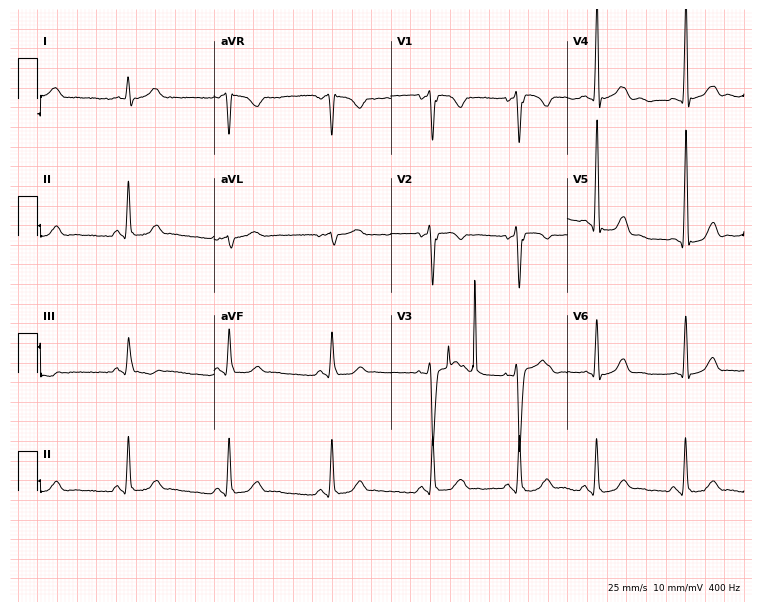
12-lead ECG from a 30-year-old male. No first-degree AV block, right bundle branch block (RBBB), left bundle branch block (LBBB), sinus bradycardia, atrial fibrillation (AF) or sinus tachycardia recorded for this tracing. Findings outside these six are not listed.